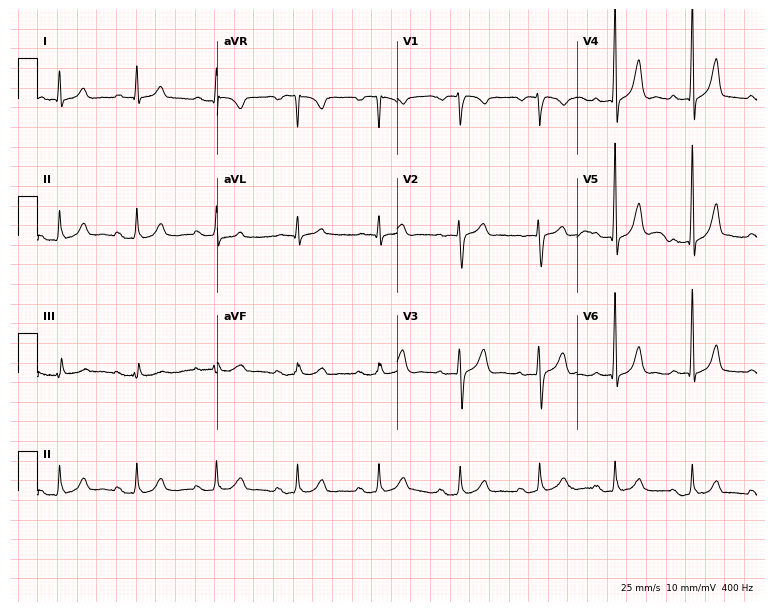
ECG — a man, 48 years old. Findings include first-degree AV block.